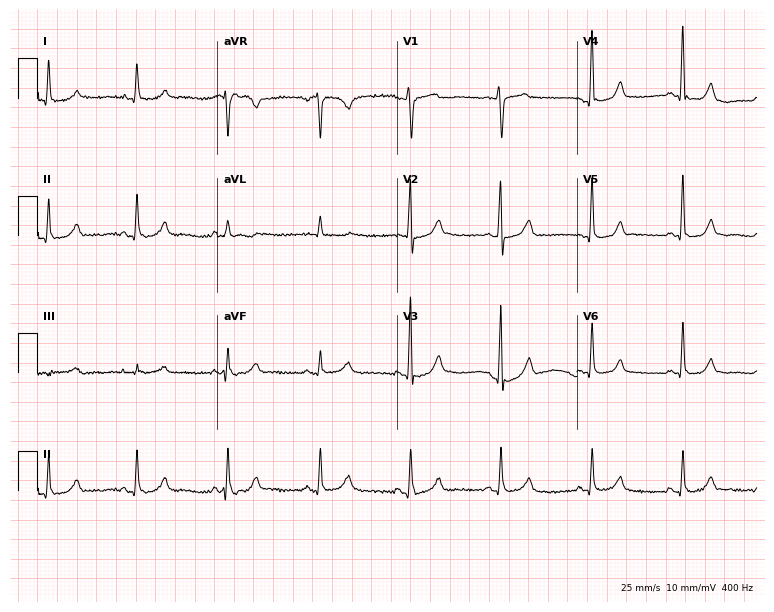
Electrocardiogram (7.3-second recording at 400 Hz), a female, 67 years old. Overall reading on record: normal ECG.